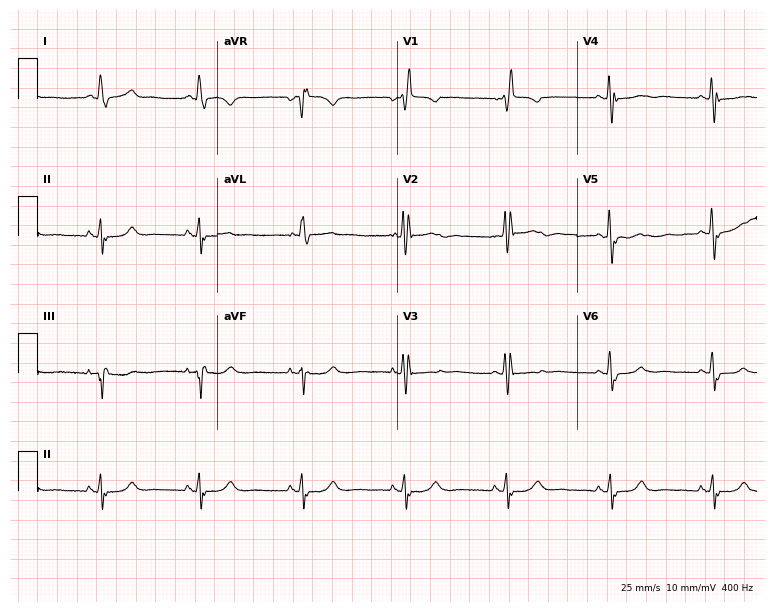
12-lead ECG from a woman, 84 years old. No first-degree AV block, right bundle branch block, left bundle branch block, sinus bradycardia, atrial fibrillation or sinus tachycardia recorded for this tracing. Other findings, if any, are not listed.